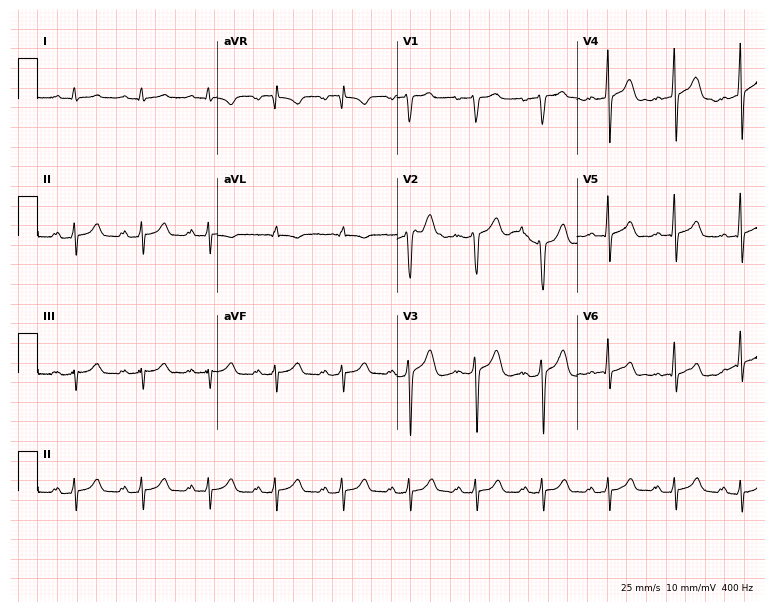
Electrocardiogram (7.3-second recording at 400 Hz), a male, 37 years old. Overall reading on record: normal ECG.